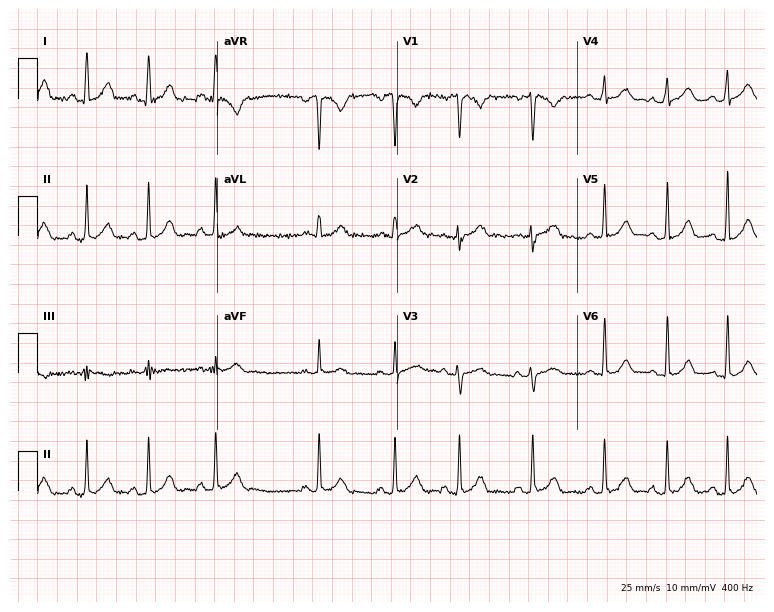
12-lead ECG from a 26-year-old female. No first-degree AV block, right bundle branch block, left bundle branch block, sinus bradycardia, atrial fibrillation or sinus tachycardia recorded for this tracing. Other findings, if any, are not listed.